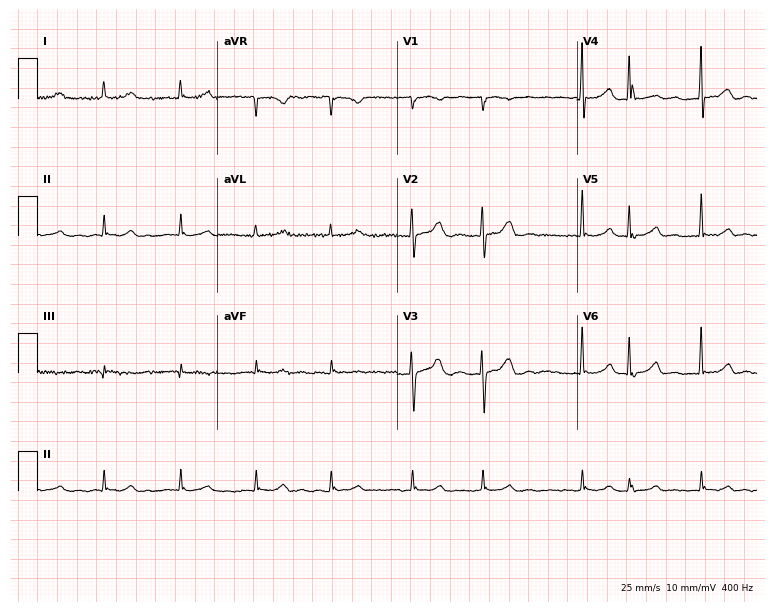
Electrocardiogram, an 84-year-old female. Interpretation includes atrial fibrillation.